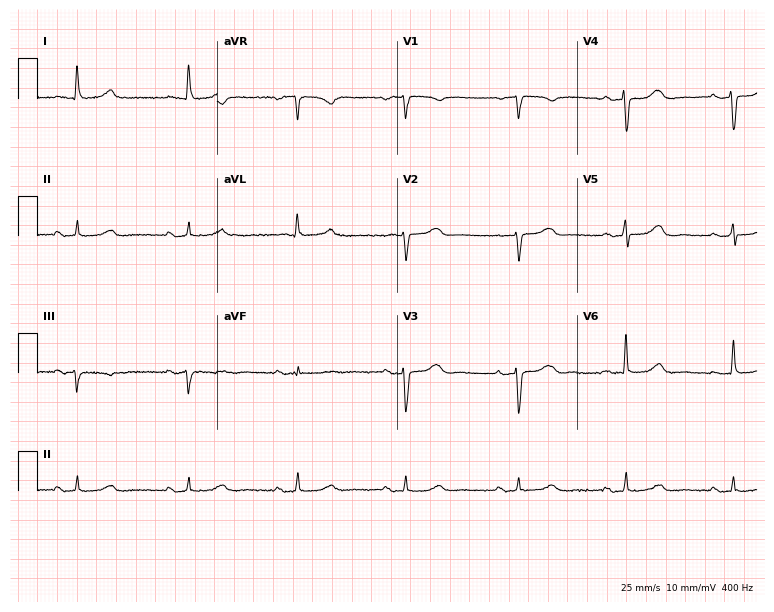
Standard 12-lead ECG recorded from a 78-year-old female patient. None of these six findings is recorded: first-degree AV block, right bundle branch block (RBBB), left bundle branch block (LBBB), sinus bradycardia, atrial fibrillation (AF), sinus tachycardia. Only these six findings were labelled.